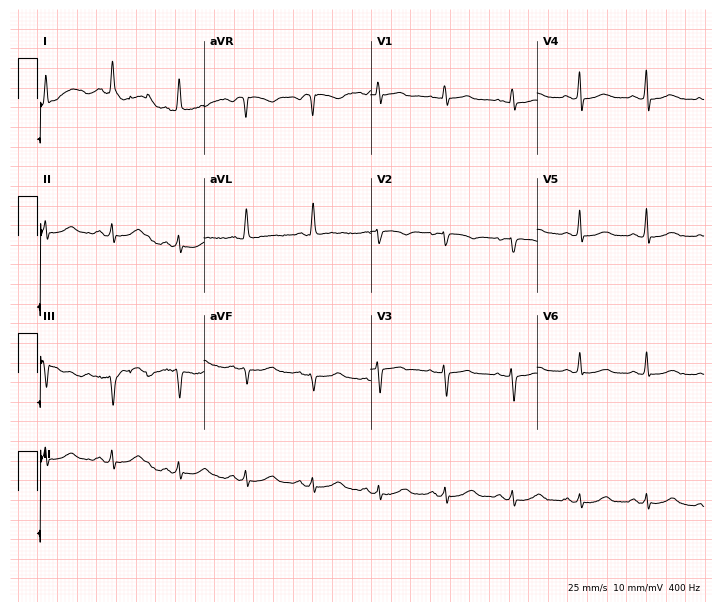
12-lead ECG from a female patient, 62 years old. Screened for six findings — first-degree AV block, right bundle branch block (RBBB), left bundle branch block (LBBB), sinus bradycardia, atrial fibrillation (AF), sinus tachycardia — none is recorded. Other findings, if any, are not listed.